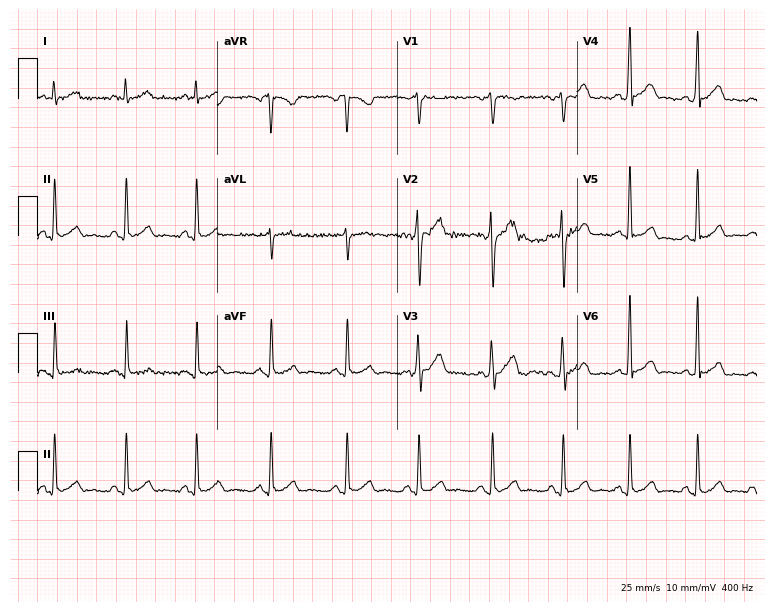
Standard 12-lead ECG recorded from a male patient, 47 years old (7.3-second recording at 400 Hz). Read as a normal ECG.